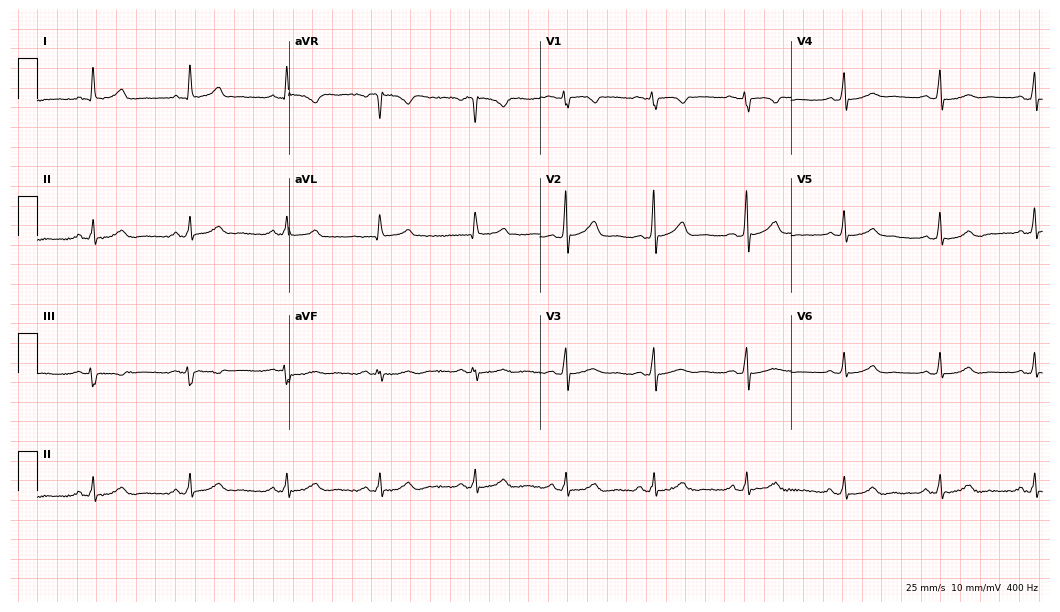
Resting 12-lead electrocardiogram. Patient: a woman, 50 years old. Read as a normal ECG.